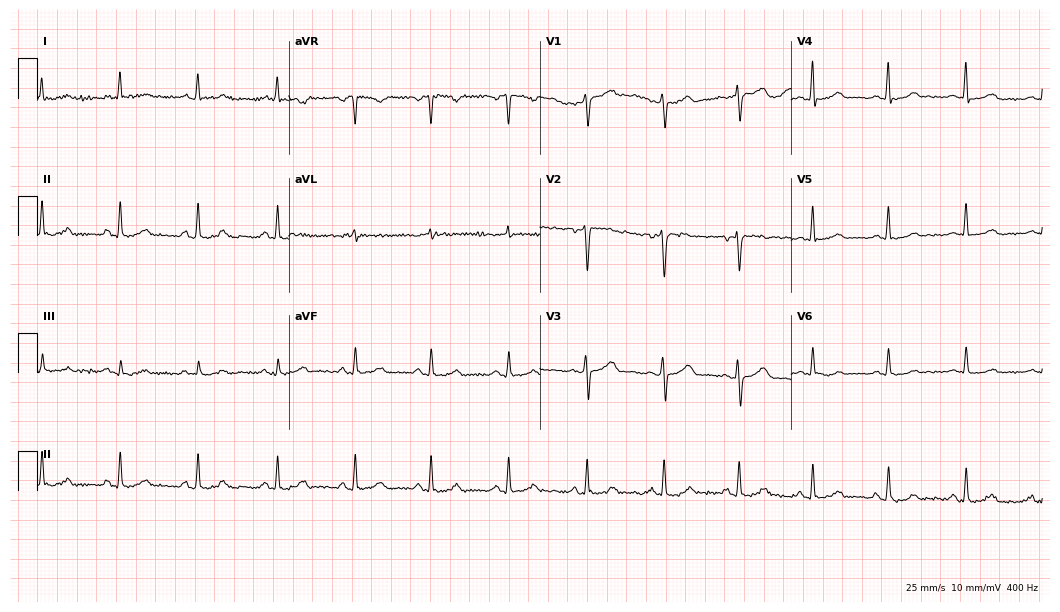
Standard 12-lead ECG recorded from a female, 49 years old. None of these six findings is recorded: first-degree AV block, right bundle branch block, left bundle branch block, sinus bradycardia, atrial fibrillation, sinus tachycardia.